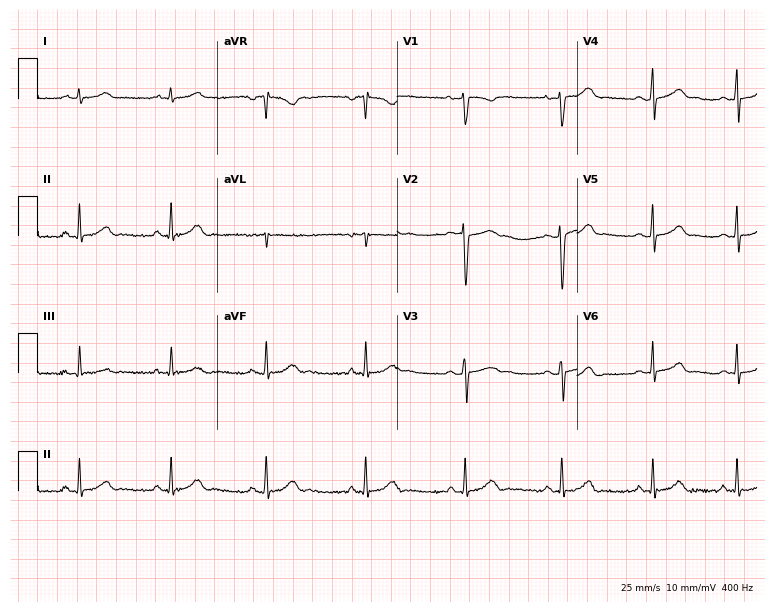
ECG (7.3-second recording at 400 Hz) — a 26-year-old female. Labelled as a normal ECG.